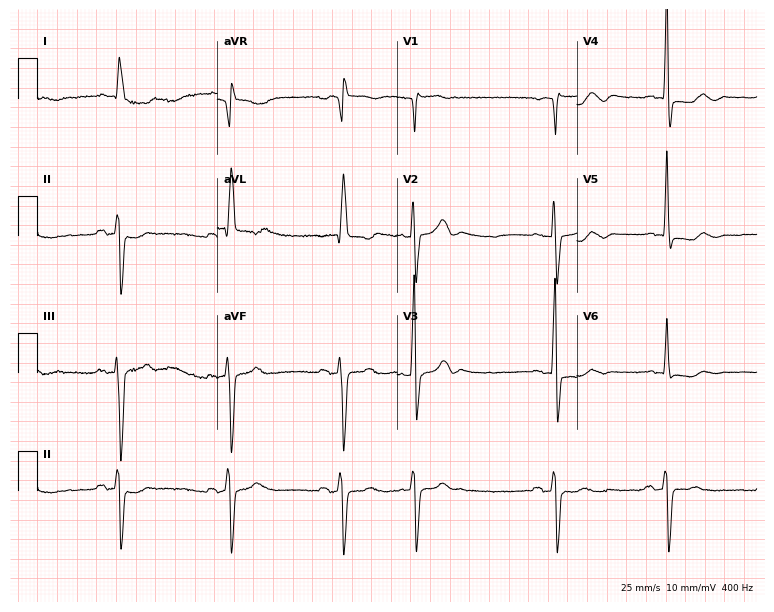
Electrocardiogram, a female patient, 78 years old. Interpretation includes left bundle branch block (LBBB).